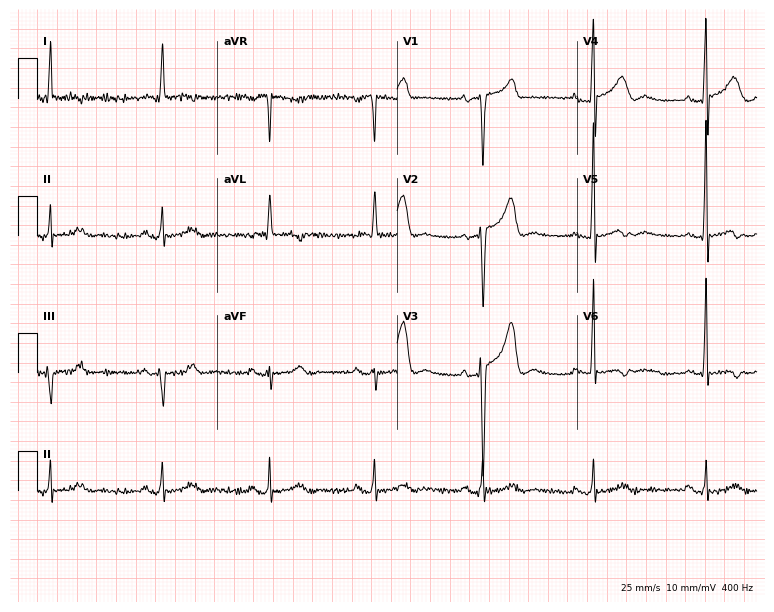
Electrocardiogram (7.3-second recording at 400 Hz), a female patient, 75 years old. Of the six screened findings (first-degree AV block, right bundle branch block, left bundle branch block, sinus bradycardia, atrial fibrillation, sinus tachycardia), none is recorded.